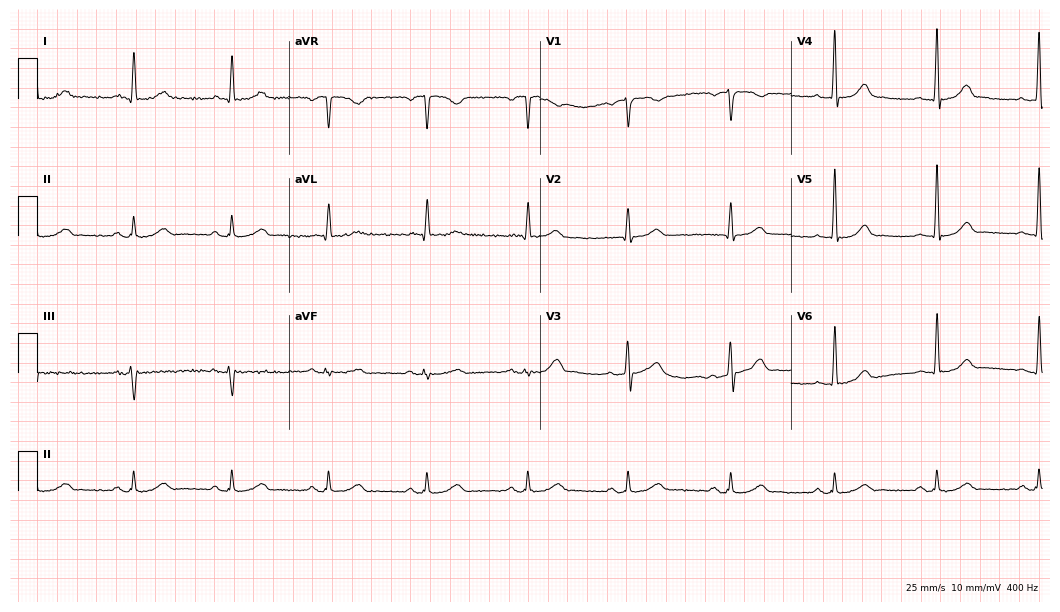
Electrocardiogram (10.2-second recording at 400 Hz), a male, 62 years old. Overall reading on record: normal ECG.